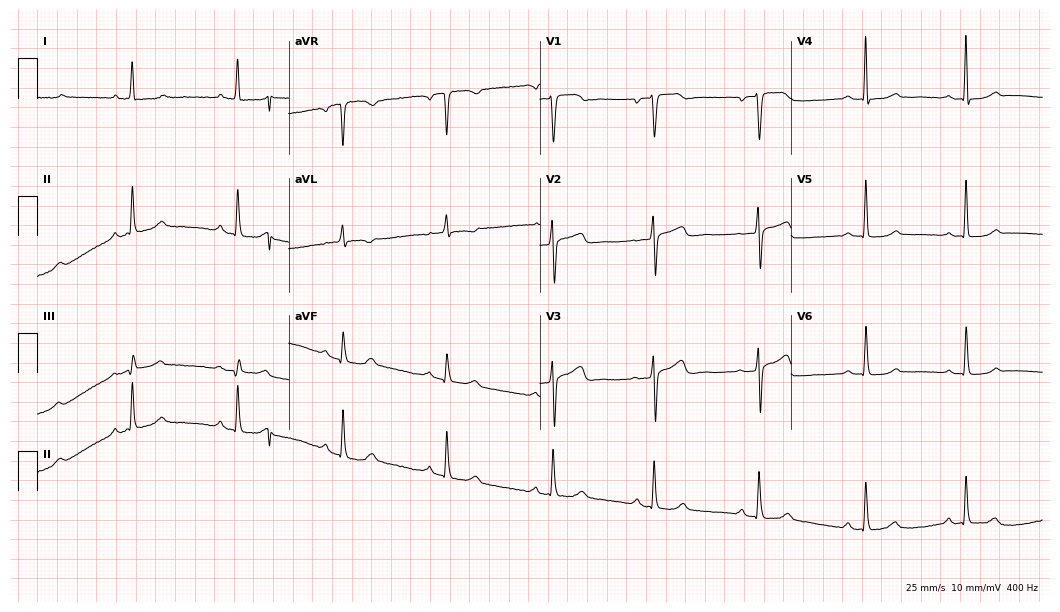
Resting 12-lead electrocardiogram. Patient: a 56-year-old female. None of these six findings is recorded: first-degree AV block, right bundle branch block, left bundle branch block, sinus bradycardia, atrial fibrillation, sinus tachycardia. Only these six findings were labelled.